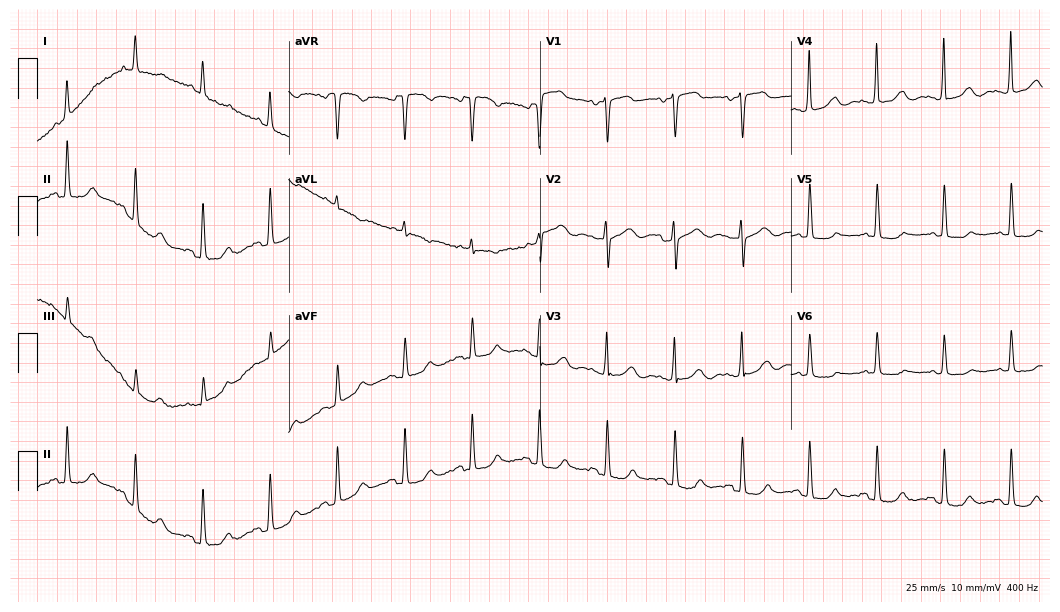
ECG (10.2-second recording at 400 Hz) — a 75-year-old female. Screened for six findings — first-degree AV block, right bundle branch block (RBBB), left bundle branch block (LBBB), sinus bradycardia, atrial fibrillation (AF), sinus tachycardia — none is recorded. Other findings, if any, are not listed.